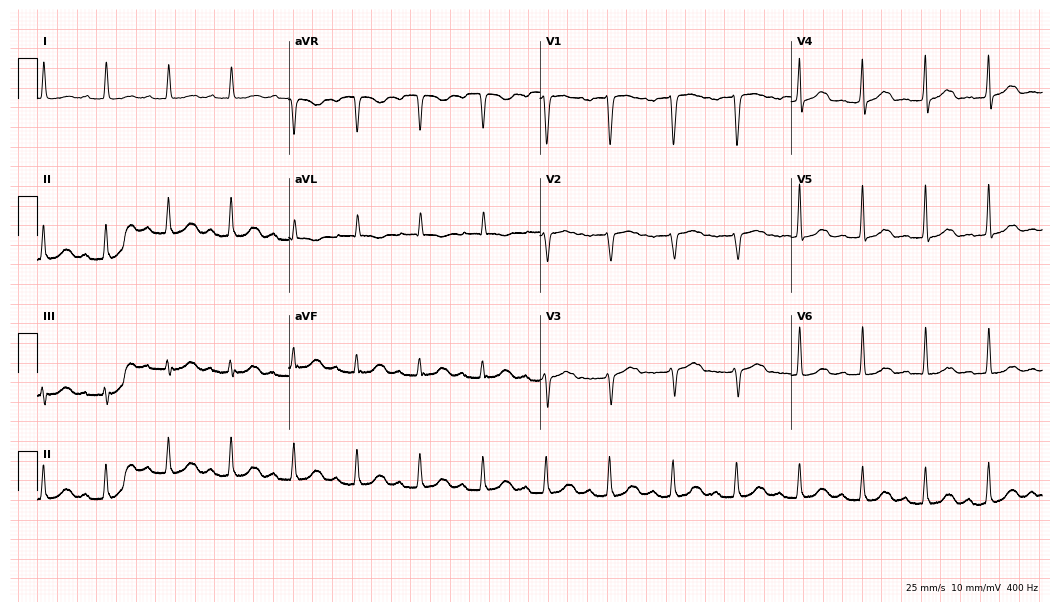
Standard 12-lead ECG recorded from a 69-year-old female. The tracing shows first-degree AV block.